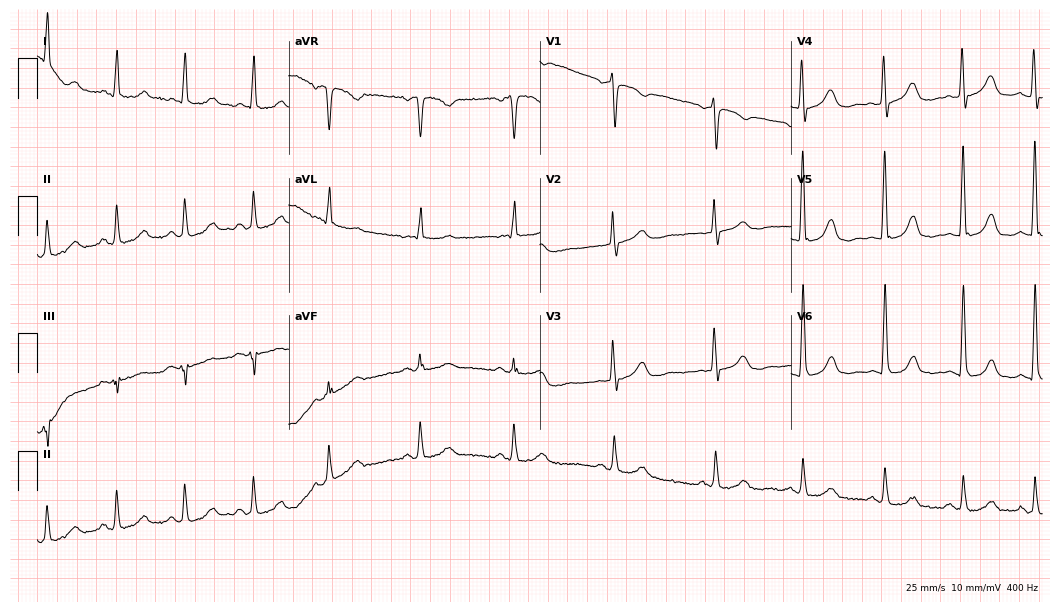
Electrocardiogram (10.2-second recording at 400 Hz), an 82-year-old female. Overall reading on record: normal ECG.